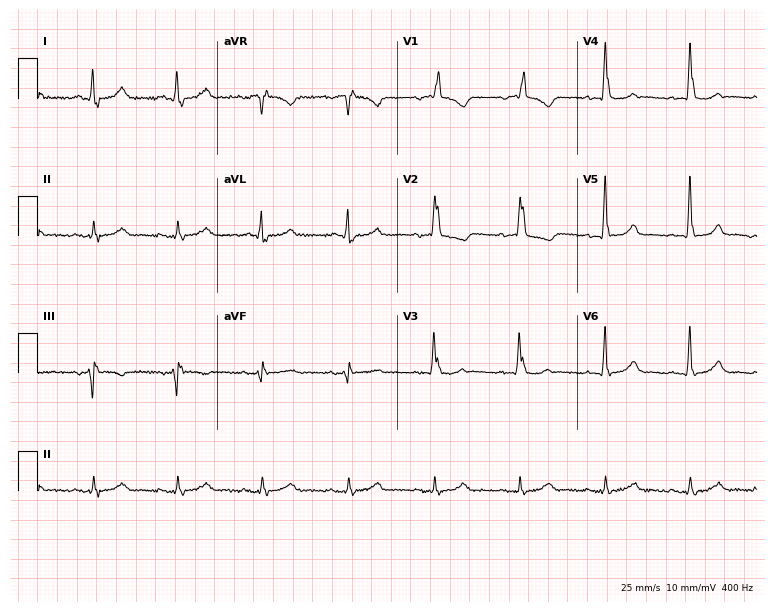
Electrocardiogram, a woman, 76 years old. Of the six screened findings (first-degree AV block, right bundle branch block, left bundle branch block, sinus bradycardia, atrial fibrillation, sinus tachycardia), none is recorded.